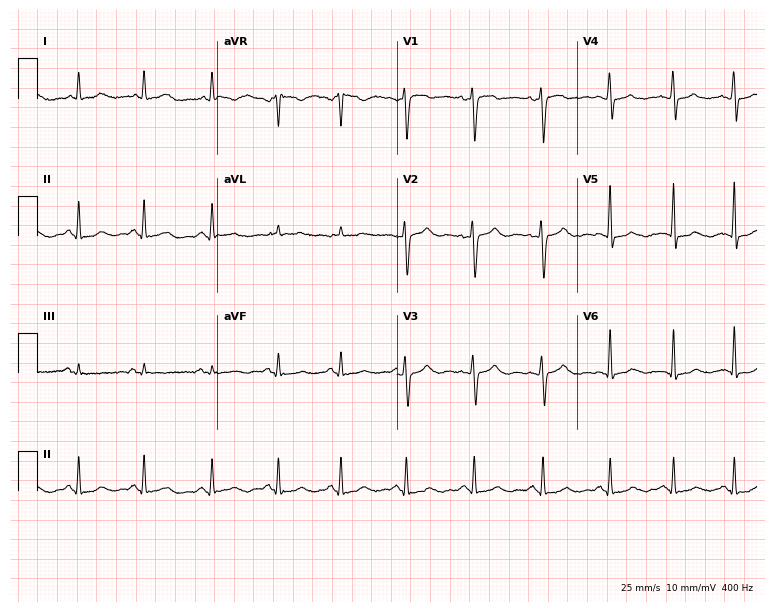
12-lead ECG from a female, 45 years old. No first-degree AV block, right bundle branch block (RBBB), left bundle branch block (LBBB), sinus bradycardia, atrial fibrillation (AF) or sinus tachycardia recorded for this tracing.